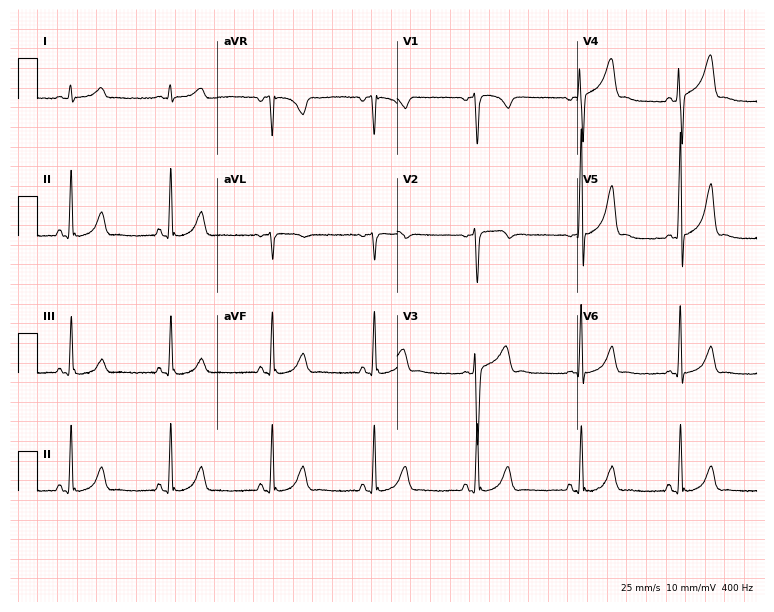
Standard 12-lead ECG recorded from a 41-year-old male patient. Read as a normal ECG.